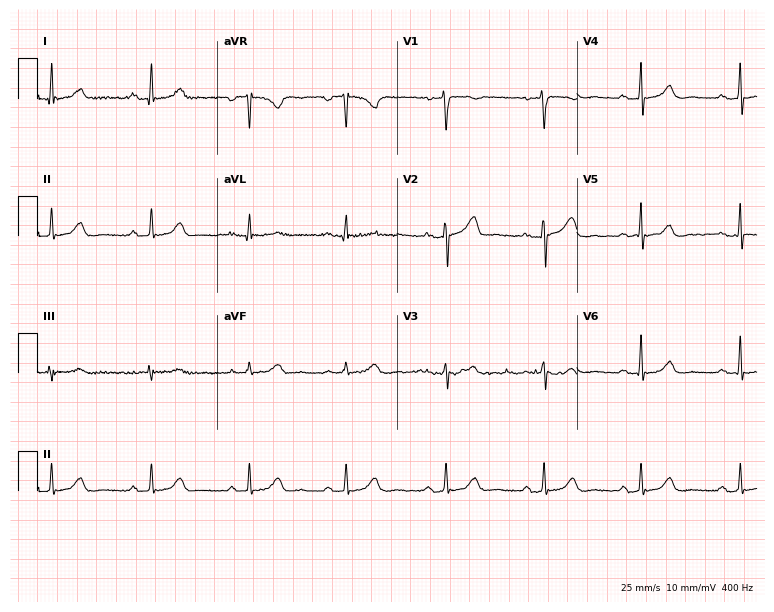
Standard 12-lead ECG recorded from a 48-year-old female patient (7.3-second recording at 400 Hz). Read as a normal ECG.